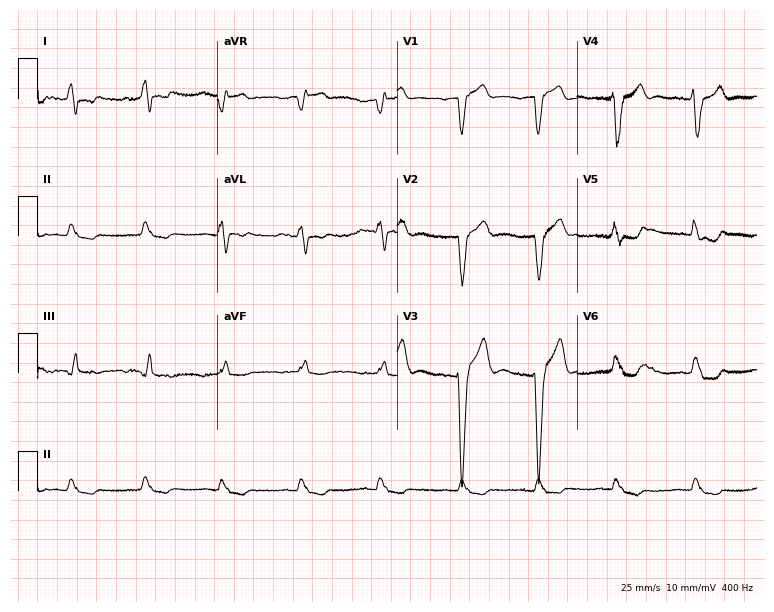
Resting 12-lead electrocardiogram. Patient: an 88-year-old man. None of these six findings is recorded: first-degree AV block, right bundle branch block, left bundle branch block, sinus bradycardia, atrial fibrillation, sinus tachycardia. Findings outside these six are not listed.